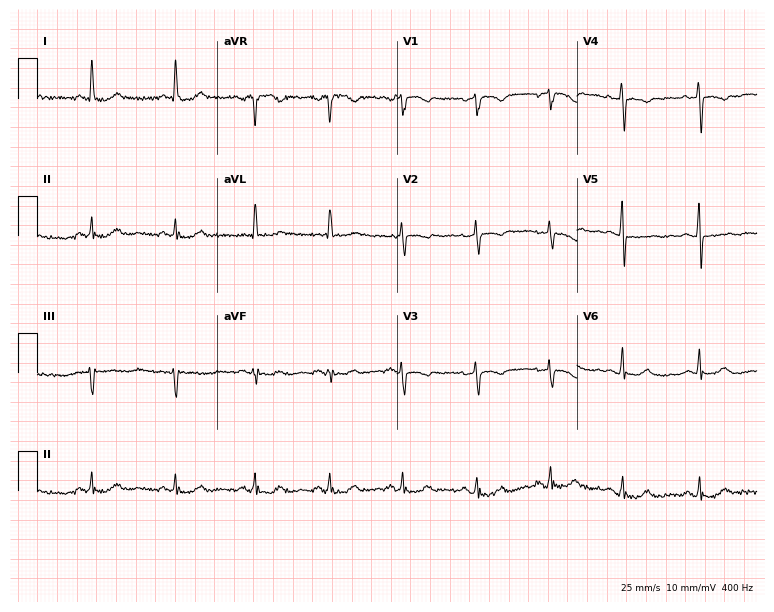
Standard 12-lead ECG recorded from a male, 75 years old. None of these six findings is recorded: first-degree AV block, right bundle branch block, left bundle branch block, sinus bradycardia, atrial fibrillation, sinus tachycardia.